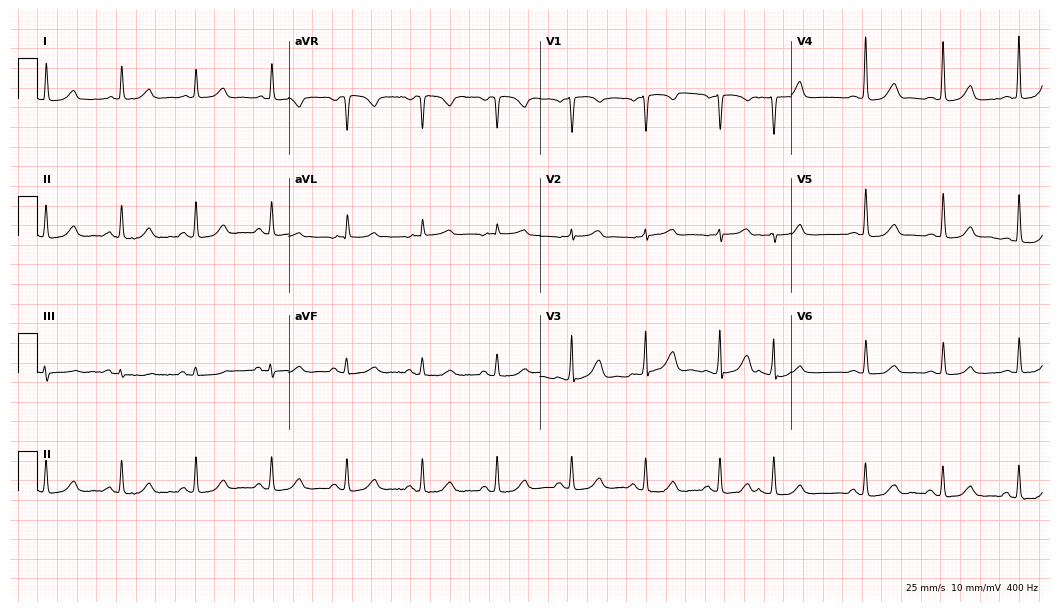
Electrocardiogram (10.2-second recording at 400 Hz), a 77-year-old female. Overall reading on record: normal ECG.